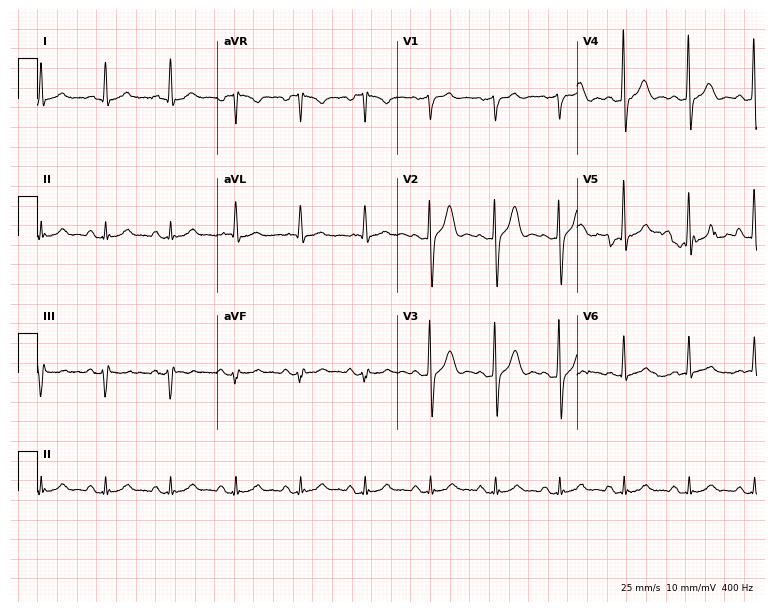
12-lead ECG from a male, 57 years old. Screened for six findings — first-degree AV block, right bundle branch block, left bundle branch block, sinus bradycardia, atrial fibrillation, sinus tachycardia — none is recorded. Only these six findings were labelled.